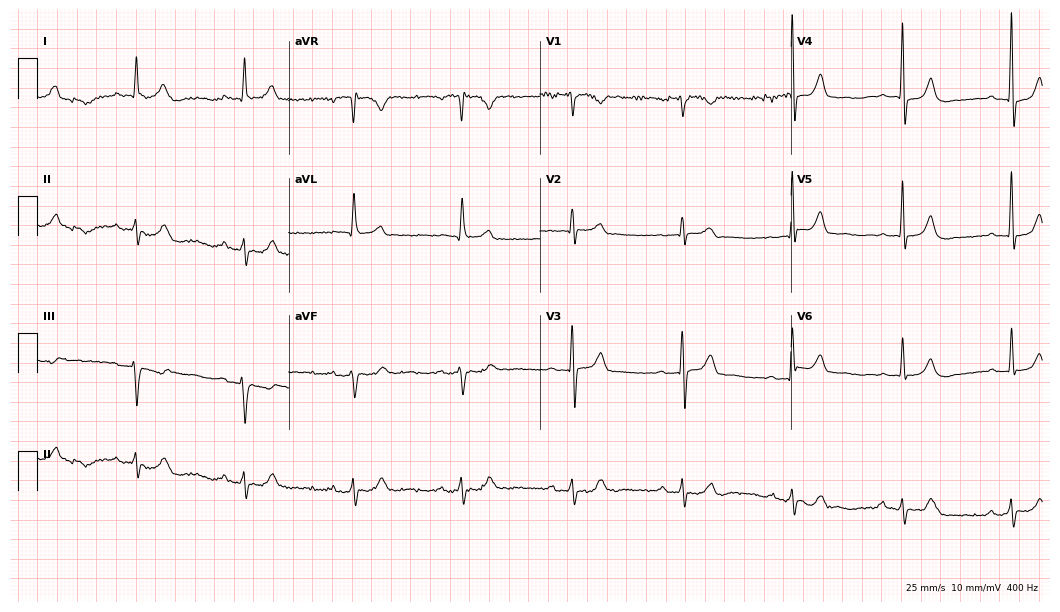
Resting 12-lead electrocardiogram (10.2-second recording at 400 Hz). Patient: a 73-year-old male. The tracing shows first-degree AV block.